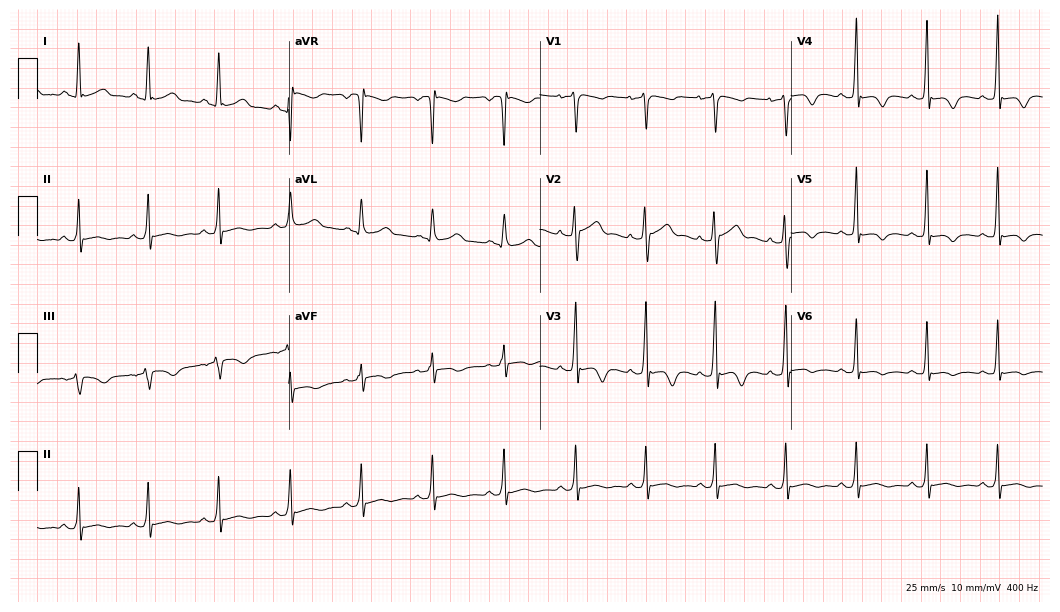
Electrocardiogram (10.2-second recording at 400 Hz), a 35-year-old man. Of the six screened findings (first-degree AV block, right bundle branch block (RBBB), left bundle branch block (LBBB), sinus bradycardia, atrial fibrillation (AF), sinus tachycardia), none is recorded. Only these six findings were labelled.